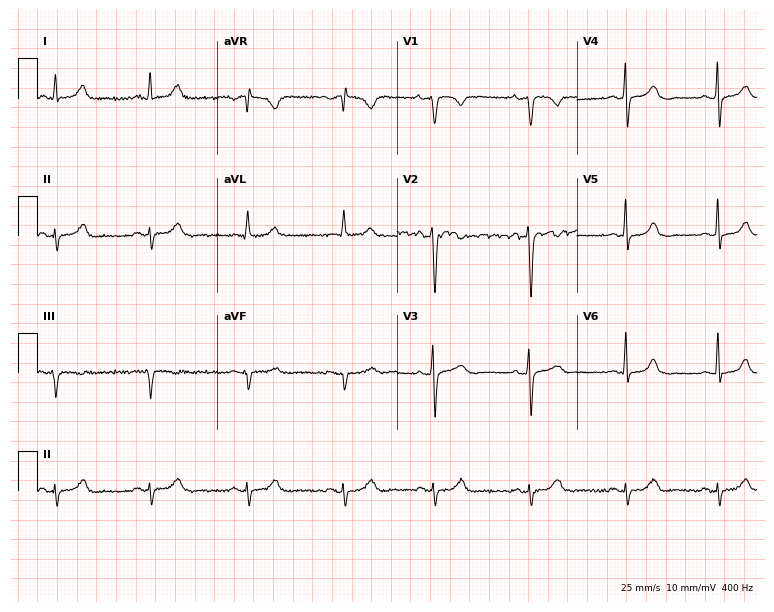
Resting 12-lead electrocardiogram (7.3-second recording at 400 Hz). Patient: a woman, 50 years old. None of these six findings is recorded: first-degree AV block, right bundle branch block, left bundle branch block, sinus bradycardia, atrial fibrillation, sinus tachycardia.